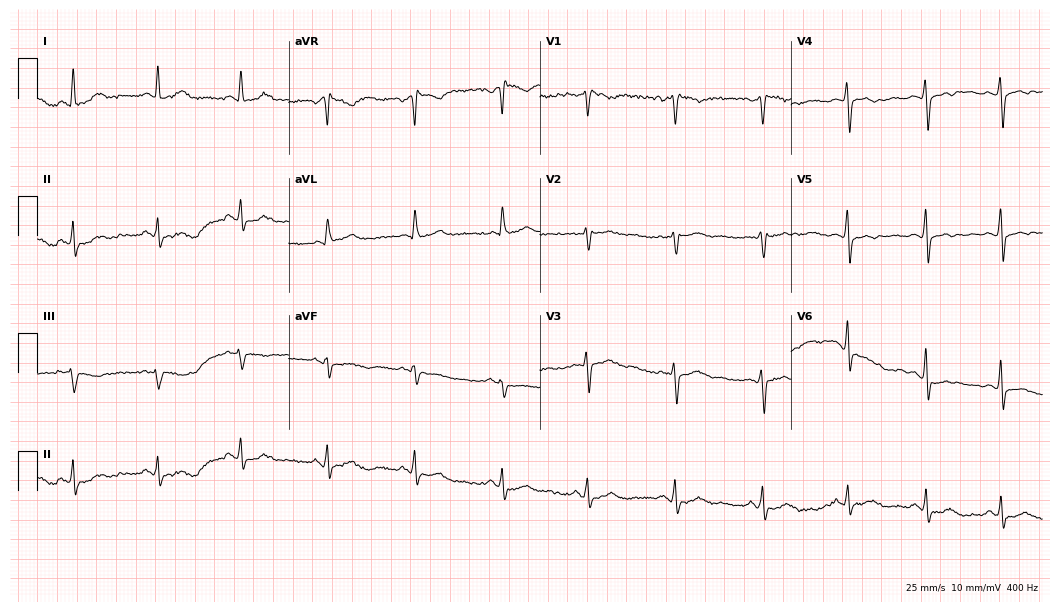
12-lead ECG from a 41-year-old woman. No first-degree AV block, right bundle branch block, left bundle branch block, sinus bradycardia, atrial fibrillation or sinus tachycardia recorded for this tracing. Findings outside these six are not listed.